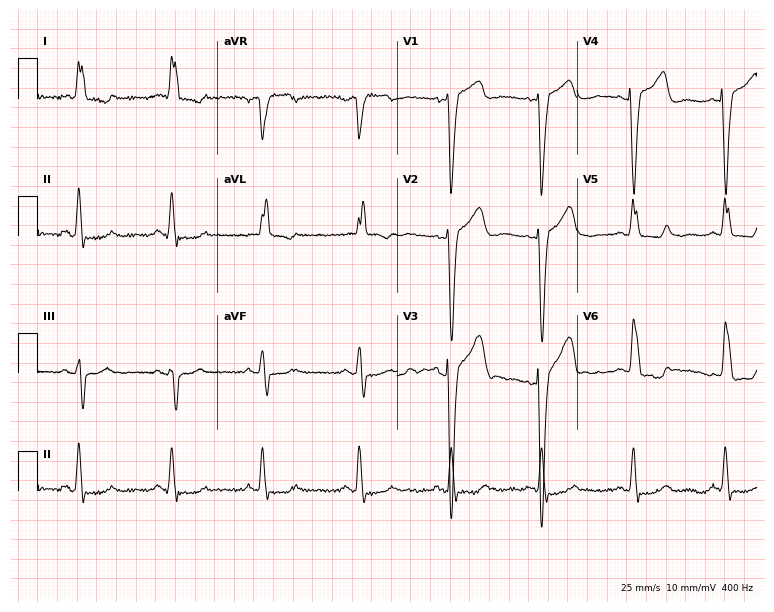
12-lead ECG from a female, 70 years old (7.3-second recording at 400 Hz). No first-degree AV block, right bundle branch block, left bundle branch block, sinus bradycardia, atrial fibrillation or sinus tachycardia recorded for this tracing. Other findings, if any, are not listed.